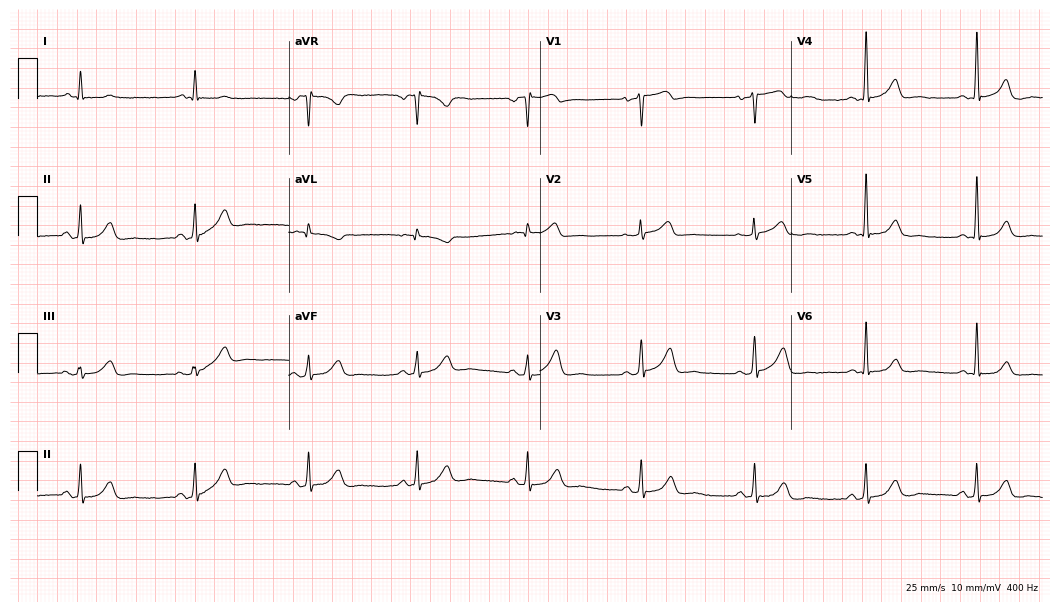
Electrocardiogram (10.2-second recording at 400 Hz), a 48-year-old female patient. Overall reading on record: normal ECG.